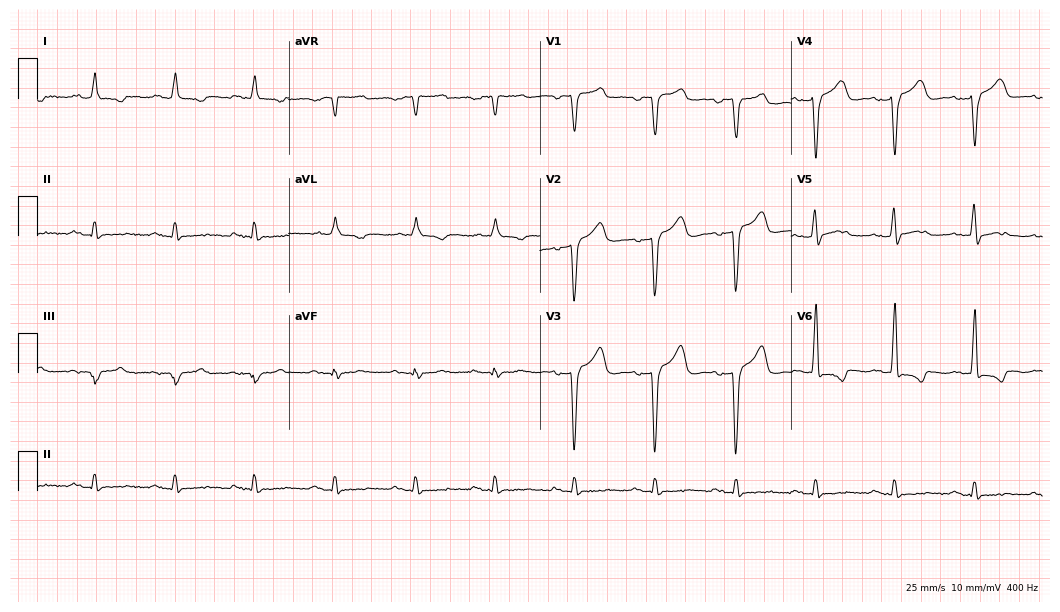
ECG (10.2-second recording at 400 Hz) — a male, 73 years old. Screened for six findings — first-degree AV block, right bundle branch block, left bundle branch block, sinus bradycardia, atrial fibrillation, sinus tachycardia — none is recorded.